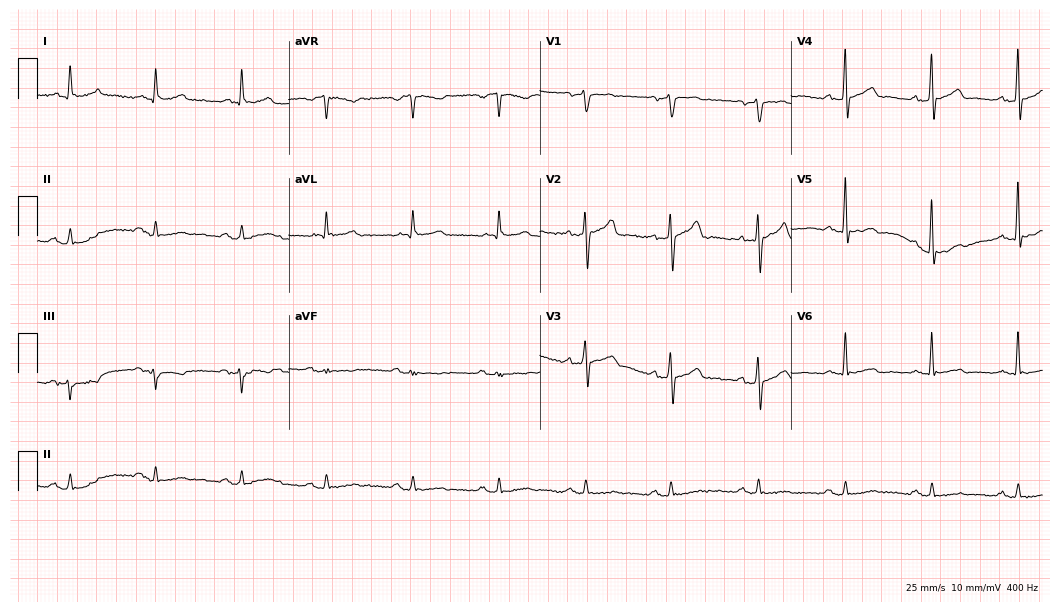
ECG — a male patient, 59 years old. Screened for six findings — first-degree AV block, right bundle branch block (RBBB), left bundle branch block (LBBB), sinus bradycardia, atrial fibrillation (AF), sinus tachycardia — none is recorded. Findings outside these six are not listed.